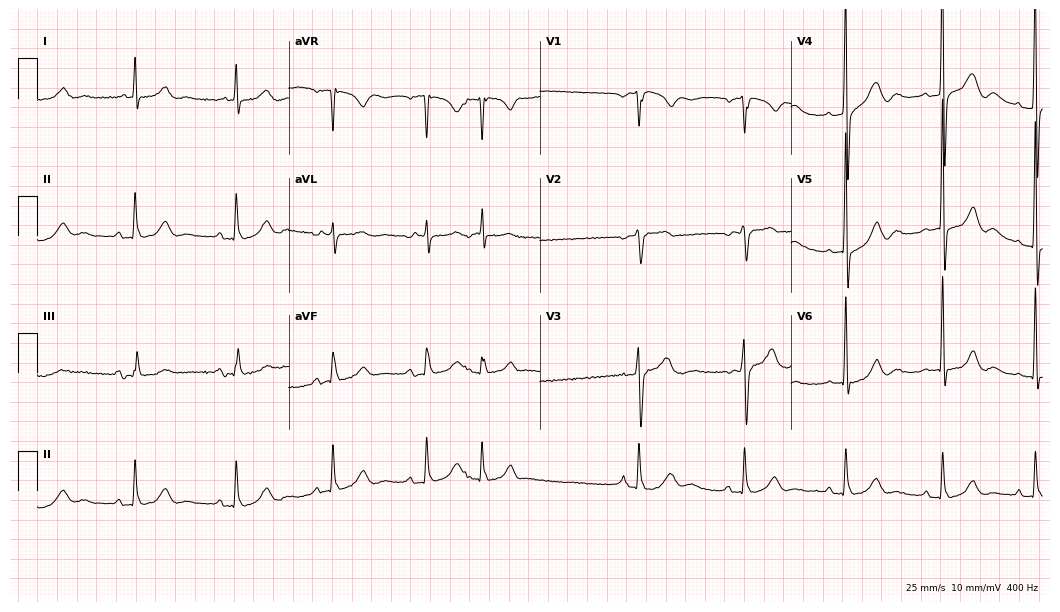
Resting 12-lead electrocardiogram (10.2-second recording at 400 Hz). Patient: a male, 72 years old. None of these six findings is recorded: first-degree AV block, right bundle branch block, left bundle branch block, sinus bradycardia, atrial fibrillation, sinus tachycardia. Only these six findings were labelled.